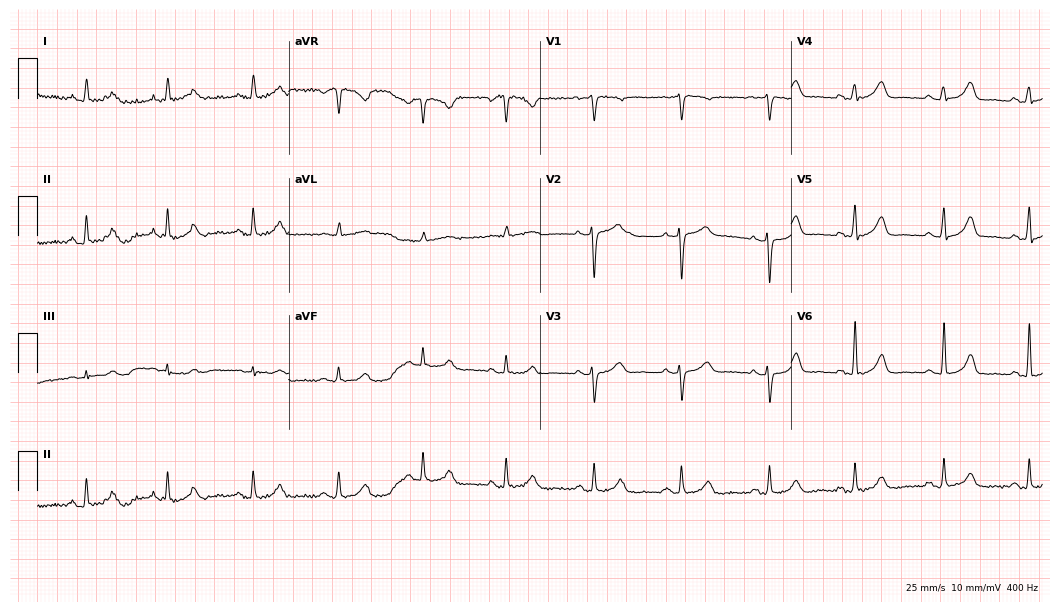
12-lead ECG (10.2-second recording at 400 Hz) from a 50-year-old female patient. Labelled as a normal ECG.